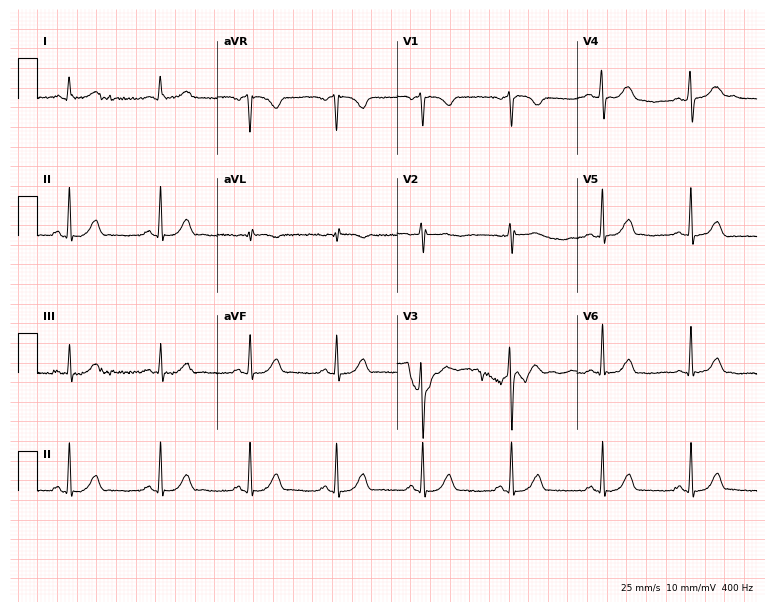
Electrocardiogram (7.3-second recording at 400 Hz), a female patient, 27 years old. Overall reading on record: normal ECG.